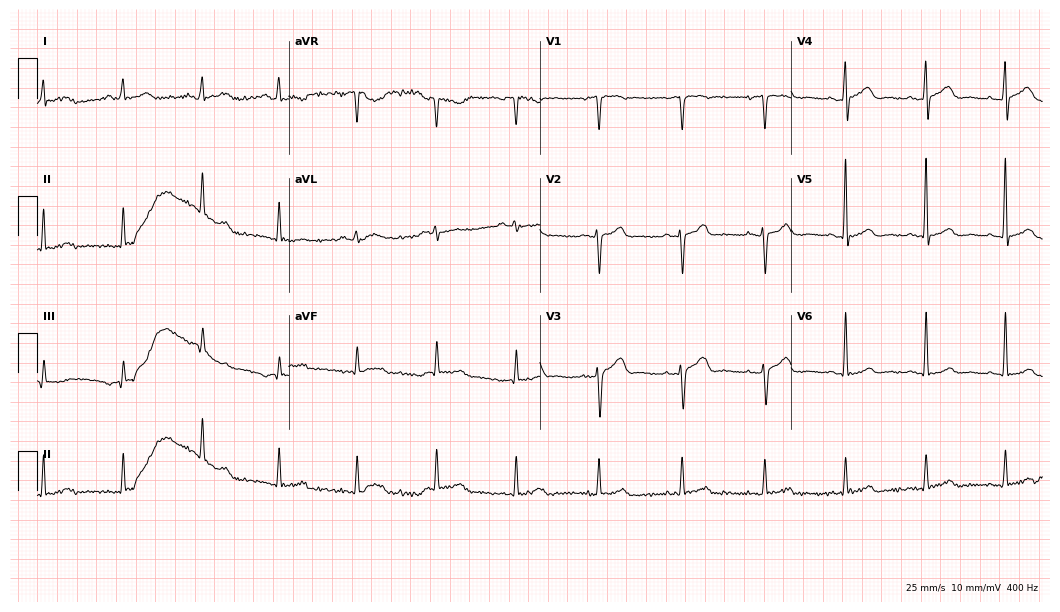
12-lead ECG from a male patient, 56 years old (10.2-second recording at 400 Hz). Recorded interpretation: within normal limits.